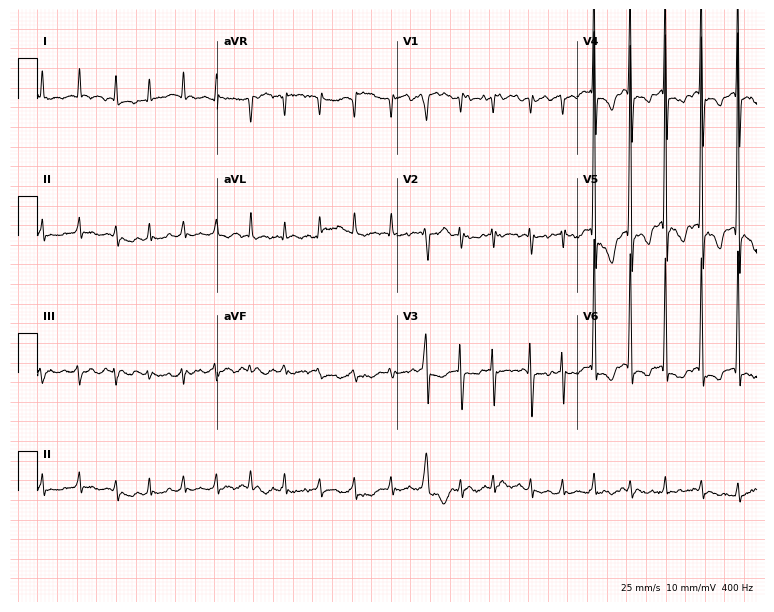
Standard 12-lead ECG recorded from an 85-year-old woman (7.3-second recording at 400 Hz). The tracing shows atrial fibrillation (AF).